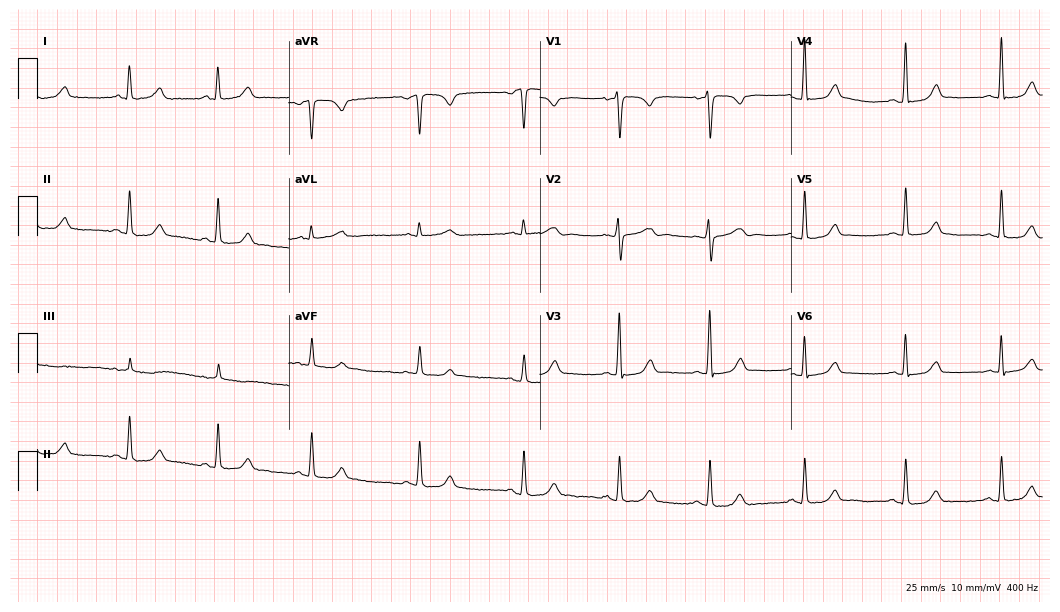
Standard 12-lead ECG recorded from a female, 34 years old. Read as a normal ECG.